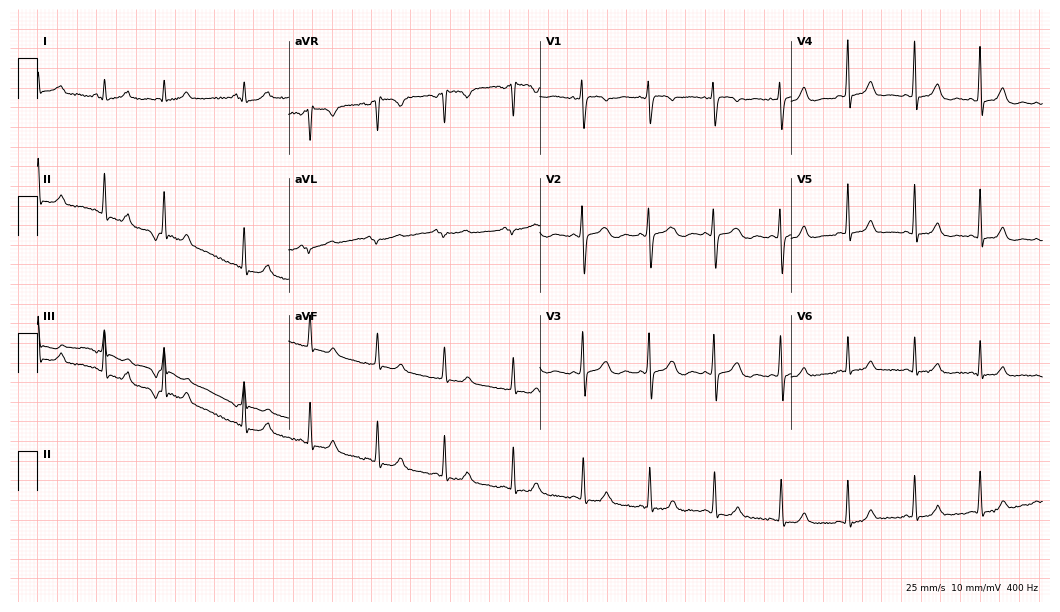
Electrocardiogram (10.2-second recording at 400 Hz), a female, 20 years old. Of the six screened findings (first-degree AV block, right bundle branch block, left bundle branch block, sinus bradycardia, atrial fibrillation, sinus tachycardia), none is recorded. Findings outside these six are not listed.